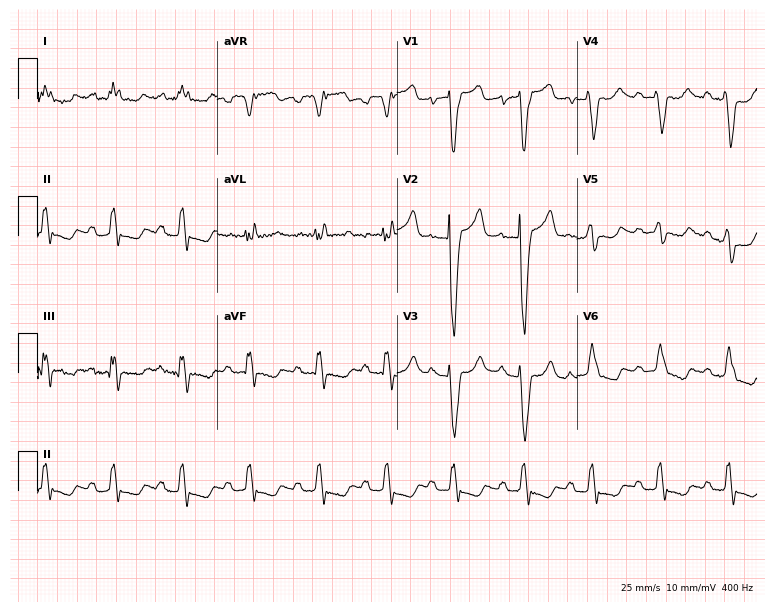
Resting 12-lead electrocardiogram (7.3-second recording at 400 Hz). Patient: a woman, 73 years old. The tracing shows left bundle branch block.